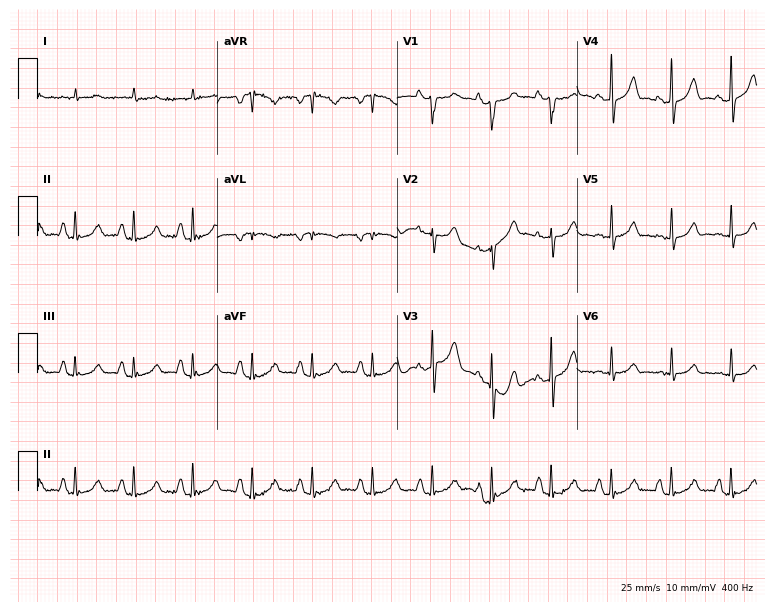
12-lead ECG from a male, 64 years old. No first-degree AV block, right bundle branch block (RBBB), left bundle branch block (LBBB), sinus bradycardia, atrial fibrillation (AF) or sinus tachycardia recorded for this tracing.